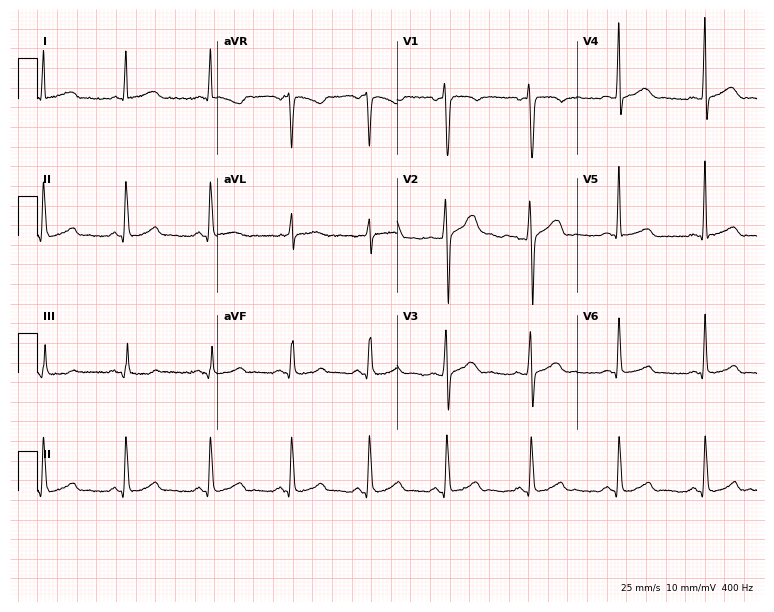
Standard 12-lead ECG recorded from a 36-year-old man (7.3-second recording at 400 Hz). Read as a normal ECG.